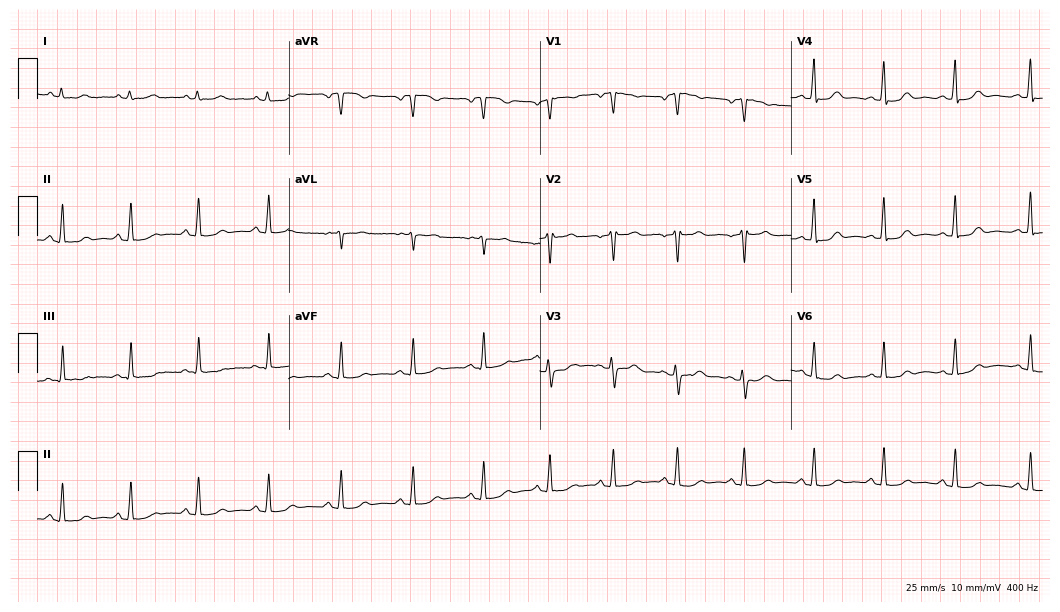
Electrocardiogram (10.2-second recording at 400 Hz), a 36-year-old woman. Overall reading on record: normal ECG.